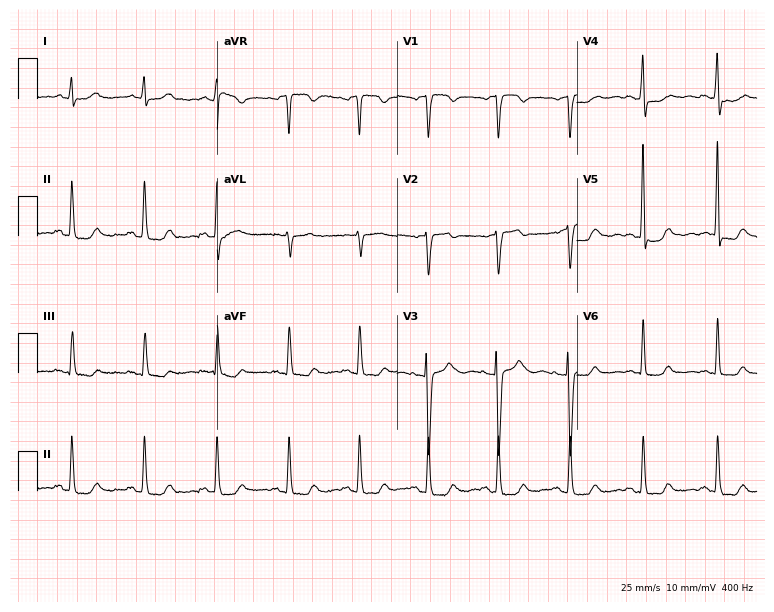
12-lead ECG from a 48-year-old female. No first-degree AV block, right bundle branch block, left bundle branch block, sinus bradycardia, atrial fibrillation or sinus tachycardia recorded for this tracing.